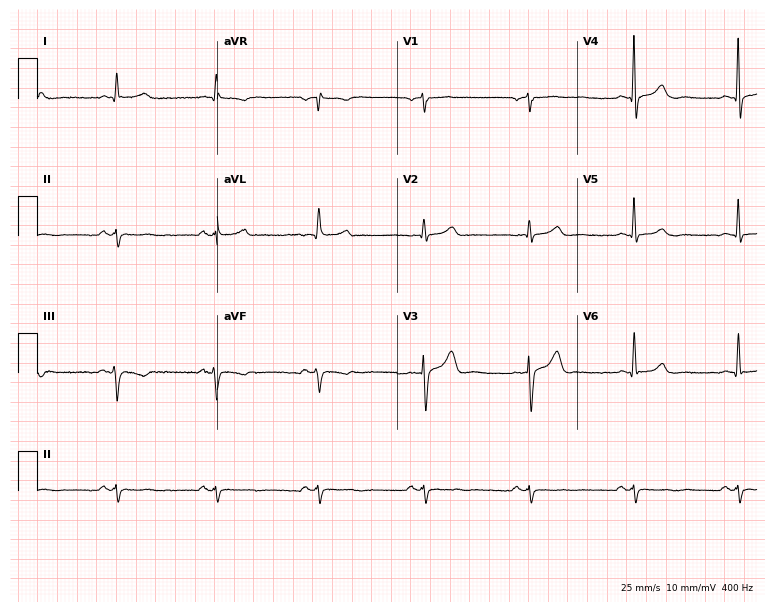
12-lead ECG from a male patient, 46 years old. No first-degree AV block, right bundle branch block, left bundle branch block, sinus bradycardia, atrial fibrillation or sinus tachycardia recorded for this tracing.